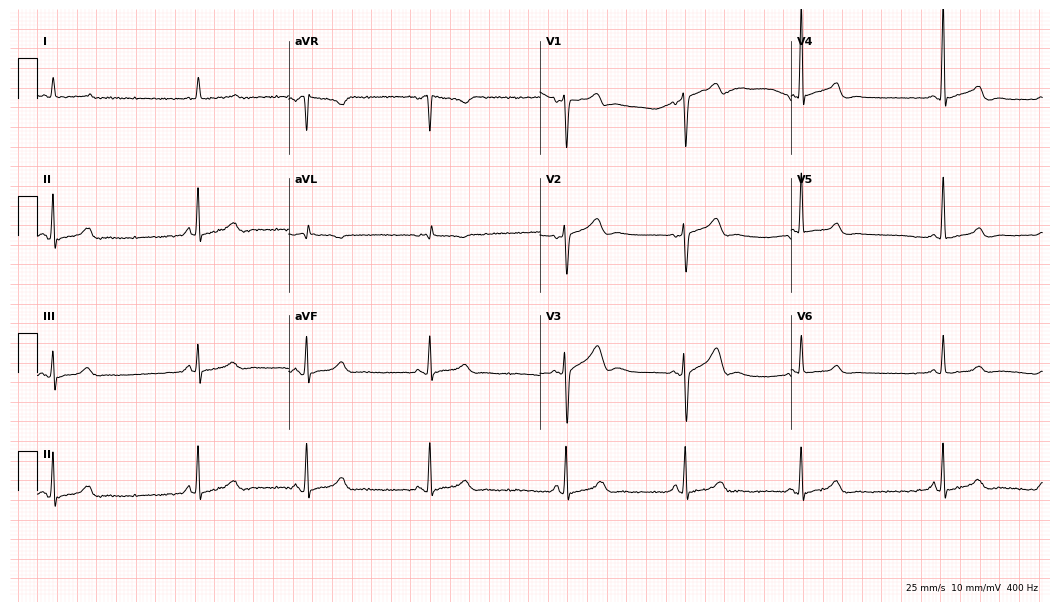
Electrocardiogram, a female, 83 years old. Of the six screened findings (first-degree AV block, right bundle branch block, left bundle branch block, sinus bradycardia, atrial fibrillation, sinus tachycardia), none is recorded.